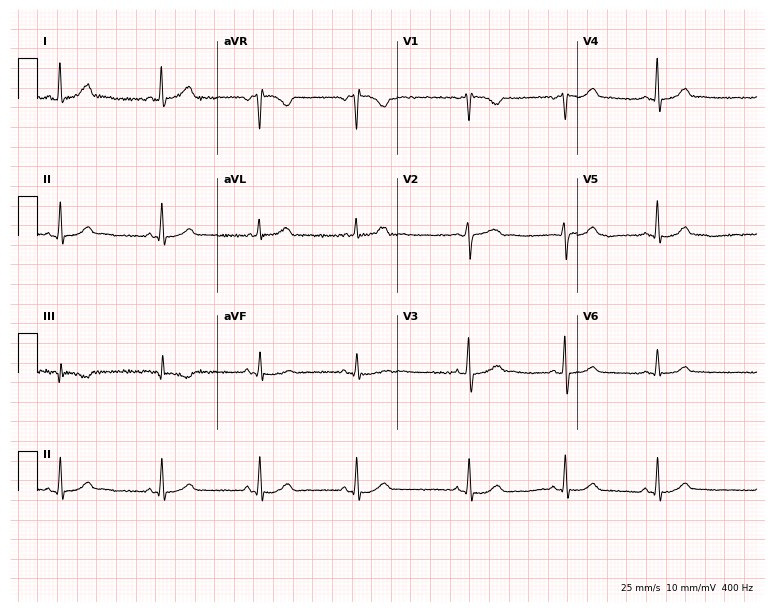
12-lead ECG (7.3-second recording at 400 Hz) from a 37-year-old female patient. Labelled as a normal ECG.